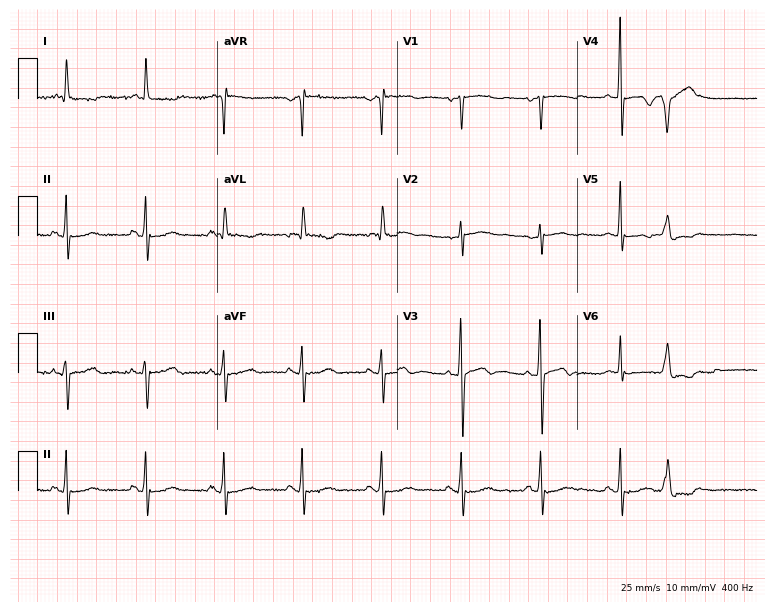
Electrocardiogram, a 79-year-old woman. Of the six screened findings (first-degree AV block, right bundle branch block, left bundle branch block, sinus bradycardia, atrial fibrillation, sinus tachycardia), none is recorded.